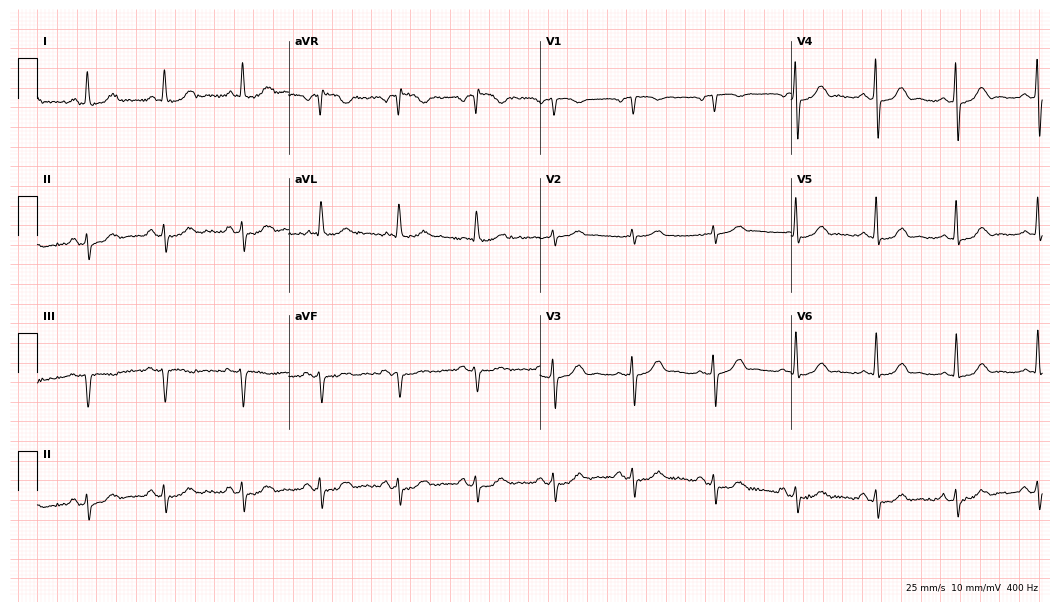
12-lead ECG from a 70-year-old female patient. Screened for six findings — first-degree AV block, right bundle branch block, left bundle branch block, sinus bradycardia, atrial fibrillation, sinus tachycardia — none is recorded.